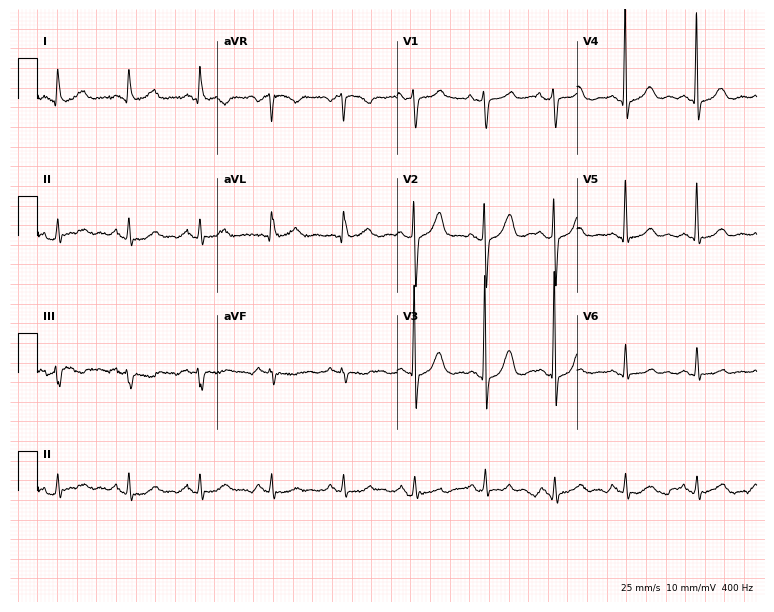
Electrocardiogram, a female, 82 years old. Of the six screened findings (first-degree AV block, right bundle branch block, left bundle branch block, sinus bradycardia, atrial fibrillation, sinus tachycardia), none is recorded.